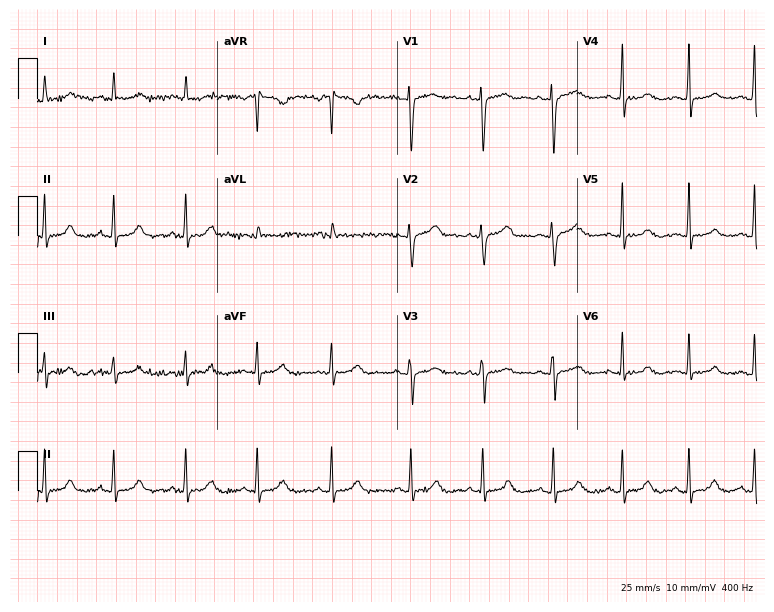
12-lead ECG from a 35-year-old woman. Labelled as a normal ECG.